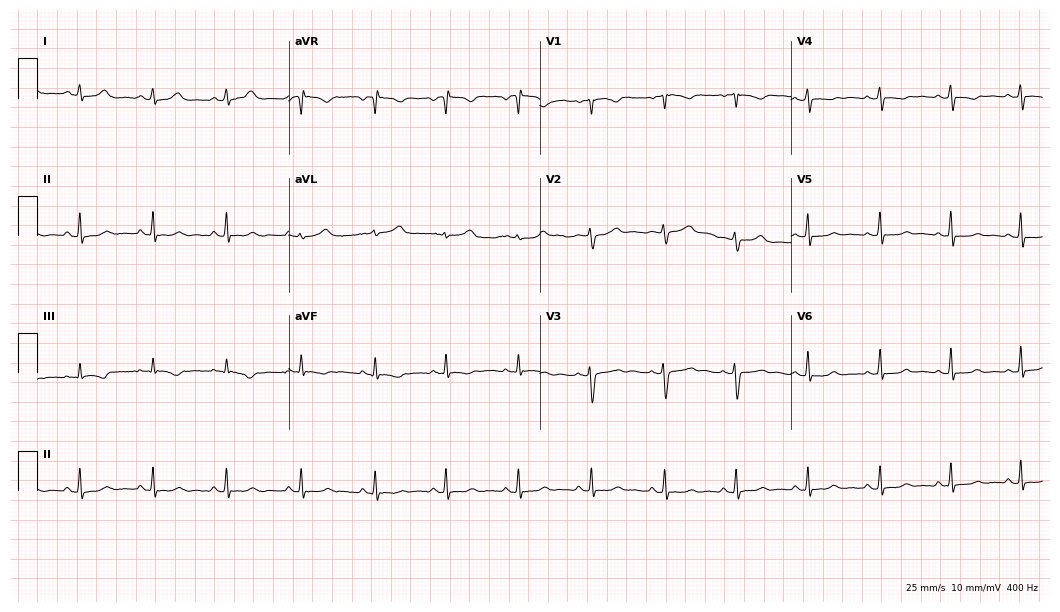
12-lead ECG from a 24-year-old female (10.2-second recording at 400 Hz). Recorded interpretation: within normal limits.